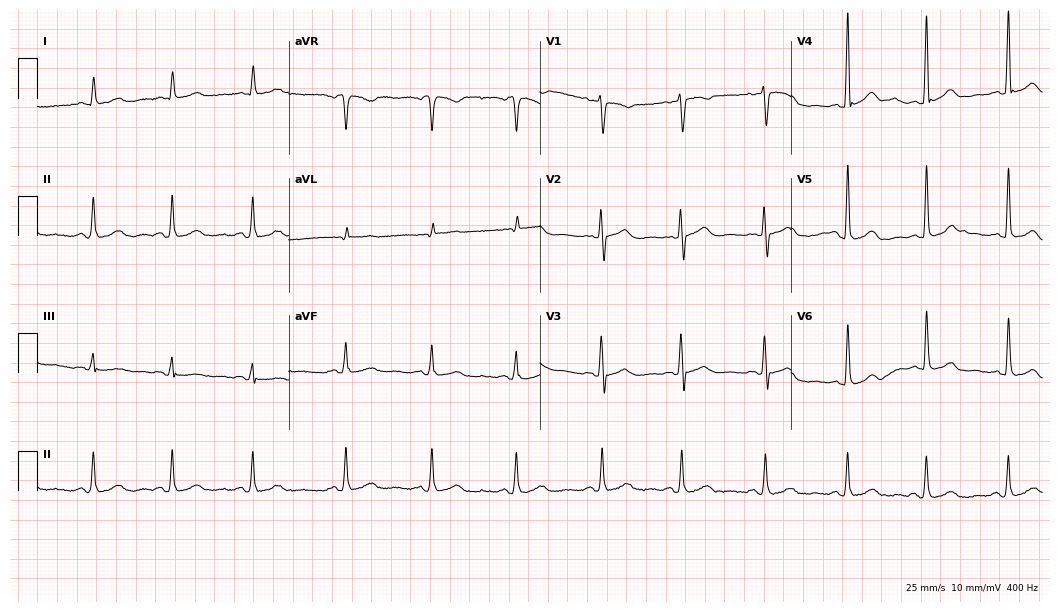
Electrocardiogram, a female patient, 50 years old. Overall reading on record: normal ECG.